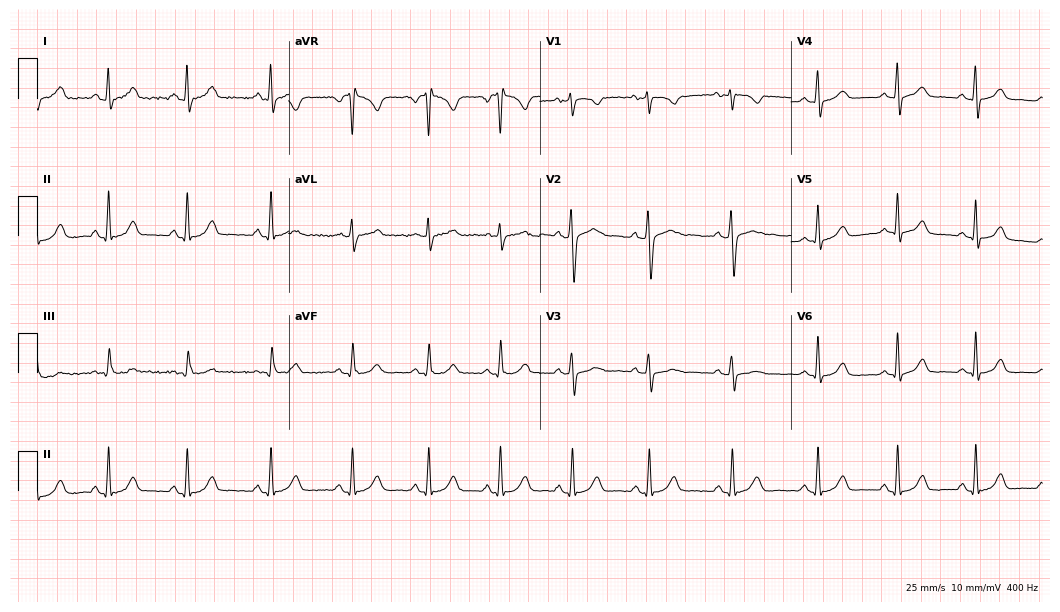
12-lead ECG from a female patient, 22 years old. Labelled as a normal ECG.